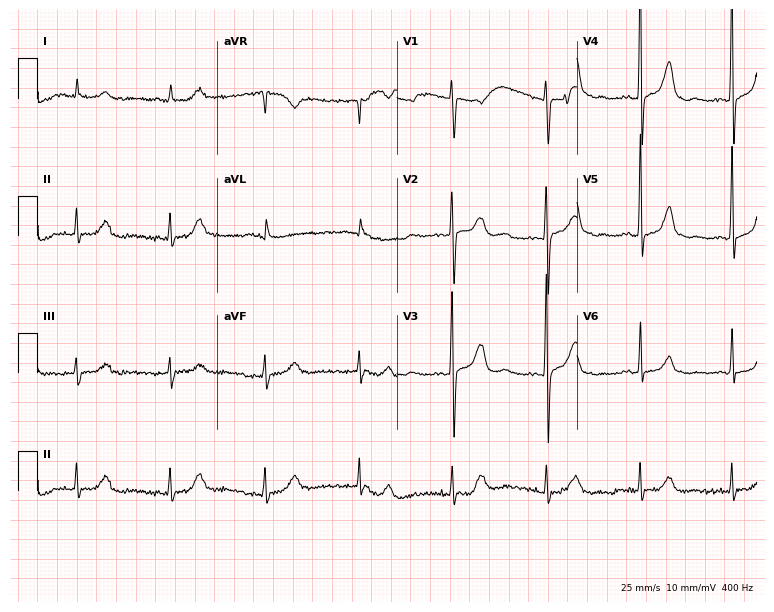
Standard 12-lead ECG recorded from an 84-year-old female (7.3-second recording at 400 Hz). None of these six findings is recorded: first-degree AV block, right bundle branch block, left bundle branch block, sinus bradycardia, atrial fibrillation, sinus tachycardia. Findings outside these six are not listed.